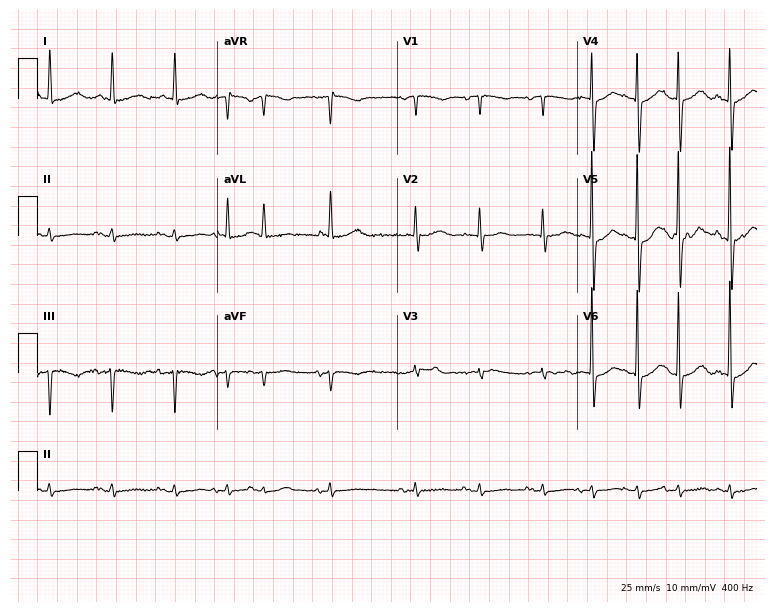
Resting 12-lead electrocardiogram. Patient: a female, 84 years old. None of these six findings is recorded: first-degree AV block, right bundle branch block, left bundle branch block, sinus bradycardia, atrial fibrillation, sinus tachycardia.